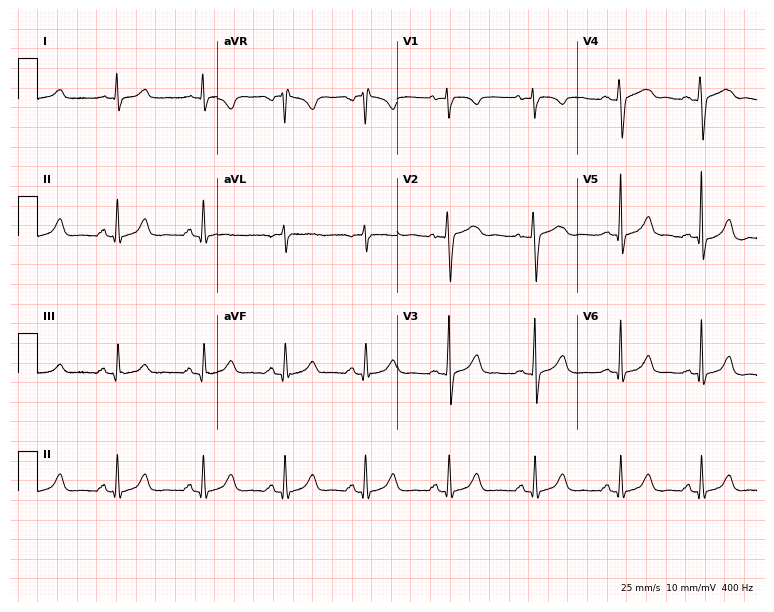
Standard 12-lead ECG recorded from a 26-year-old woman (7.3-second recording at 400 Hz). Read as a normal ECG.